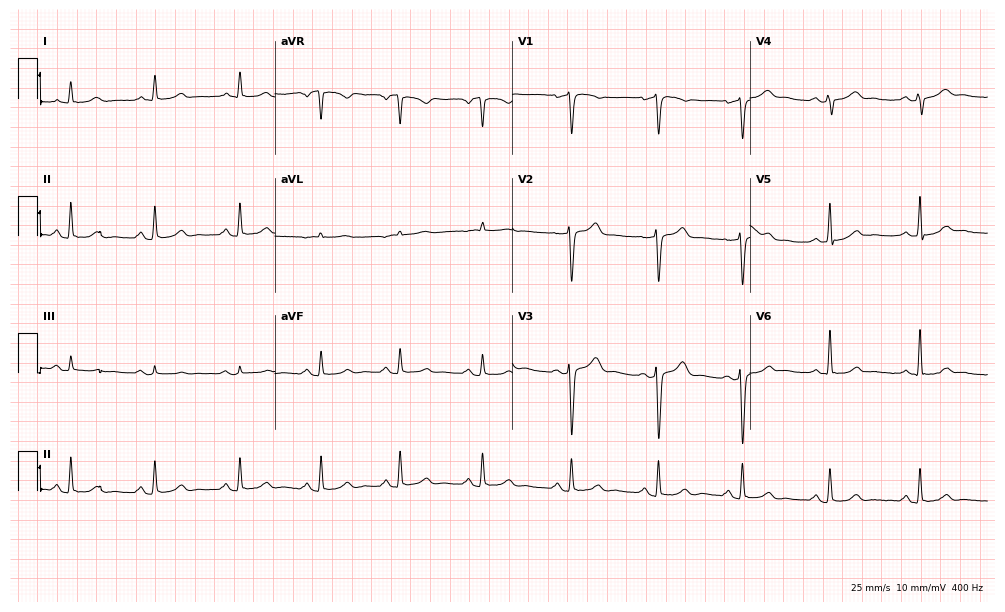
12-lead ECG from a 57-year-old man (9.7-second recording at 400 Hz). No first-degree AV block, right bundle branch block, left bundle branch block, sinus bradycardia, atrial fibrillation or sinus tachycardia recorded for this tracing. Findings outside these six are not listed.